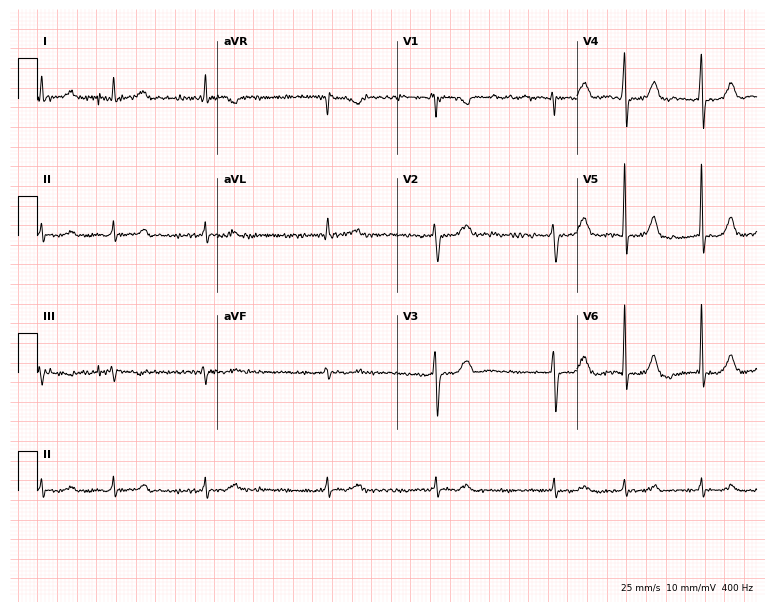
Electrocardiogram, a woman, 76 years old. Interpretation includes atrial fibrillation (AF).